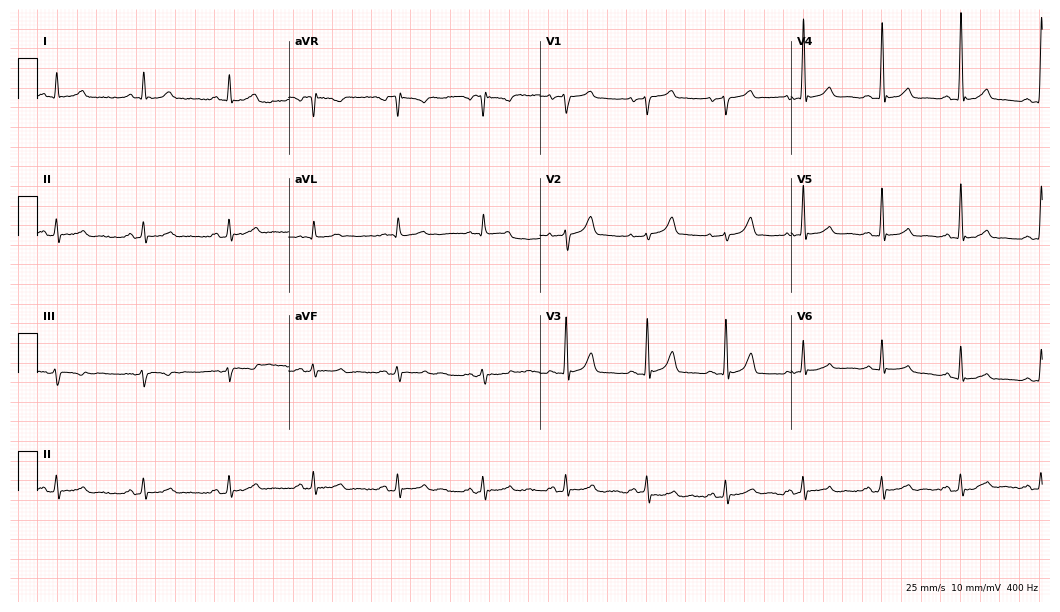
Electrocardiogram, a 69-year-old man. Overall reading on record: normal ECG.